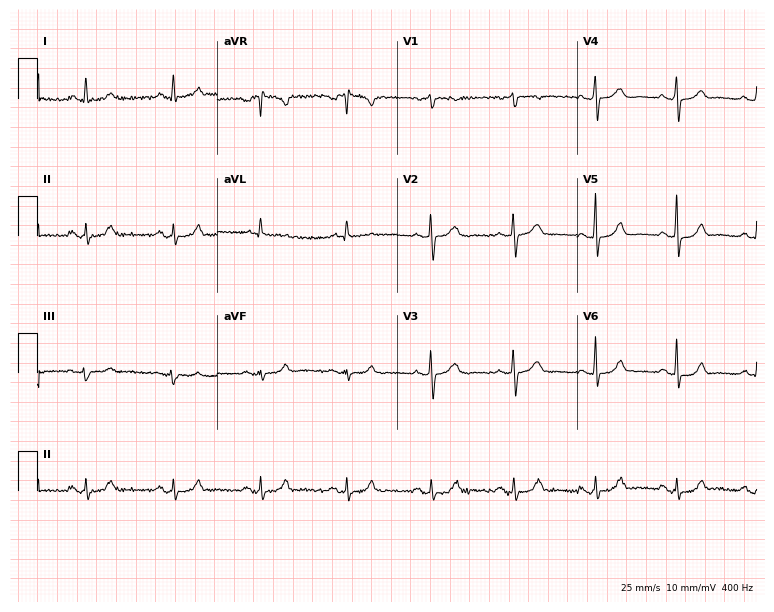
ECG — a 63-year-old female patient. Labelled as a normal ECG.